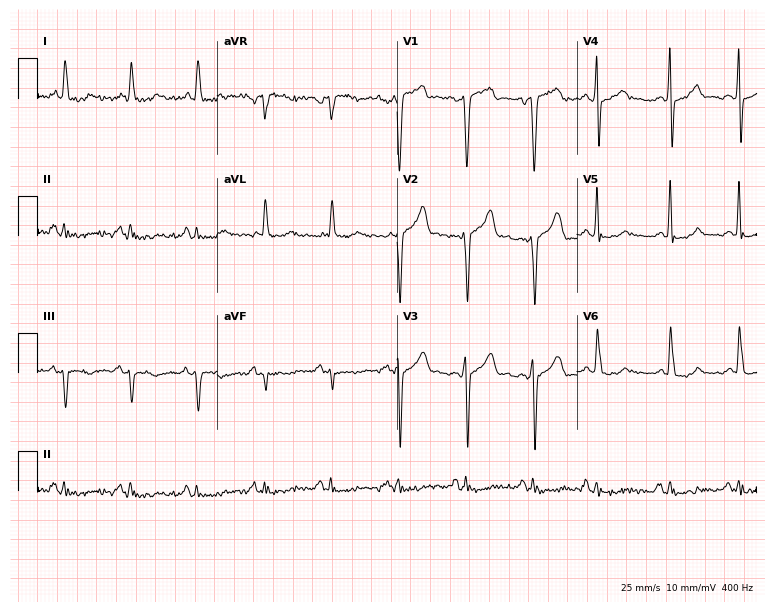
12-lead ECG from a man, 66 years old. Screened for six findings — first-degree AV block, right bundle branch block, left bundle branch block, sinus bradycardia, atrial fibrillation, sinus tachycardia — none is recorded. Other findings, if any, are not listed.